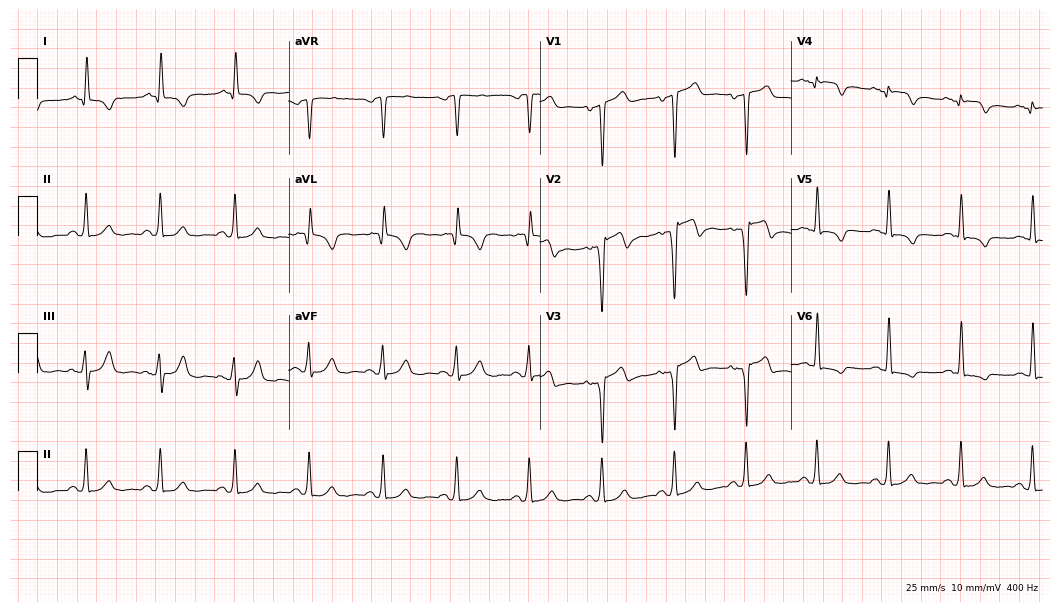
ECG (10.2-second recording at 400 Hz) — a 58-year-old male patient. Screened for six findings — first-degree AV block, right bundle branch block (RBBB), left bundle branch block (LBBB), sinus bradycardia, atrial fibrillation (AF), sinus tachycardia — none is recorded.